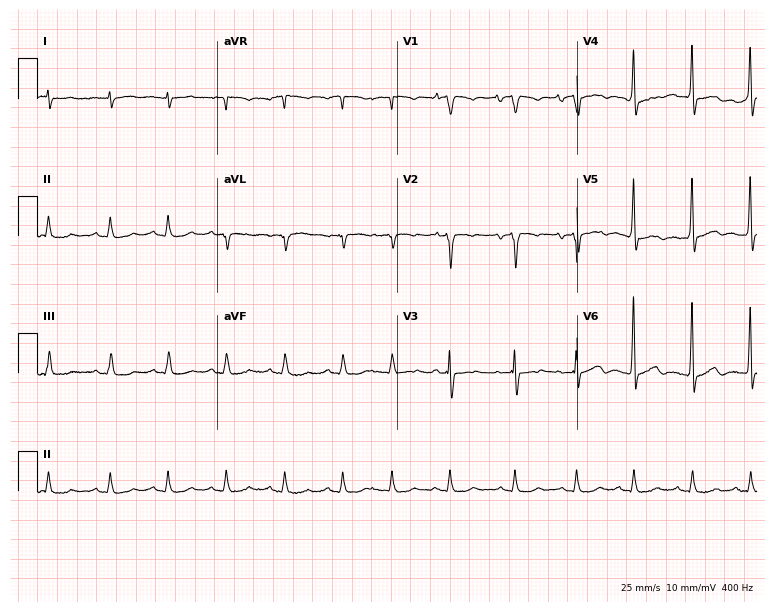
Standard 12-lead ECG recorded from a 78-year-old male patient. The tracing shows sinus tachycardia (a sinus rate of 100 beats per minute or more).